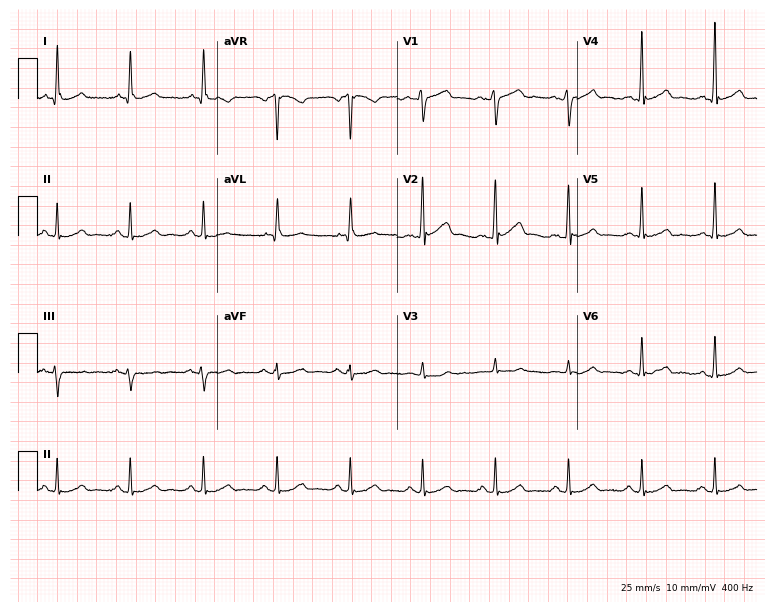
Standard 12-lead ECG recorded from a 44-year-old male patient. Read as a normal ECG.